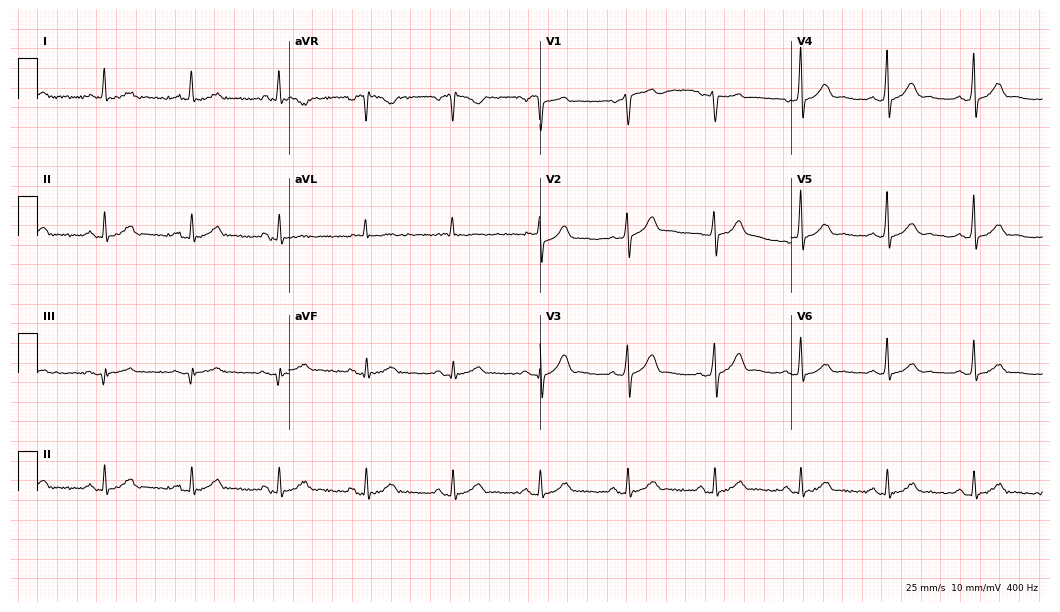
Resting 12-lead electrocardiogram (10.2-second recording at 400 Hz). Patient: a 60-year-old male. None of these six findings is recorded: first-degree AV block, right bundle branch block, left bundle branch block, sinus bradycardia, atrial fibrillation, sinus tachycardia. Findings outside these six are not listed.